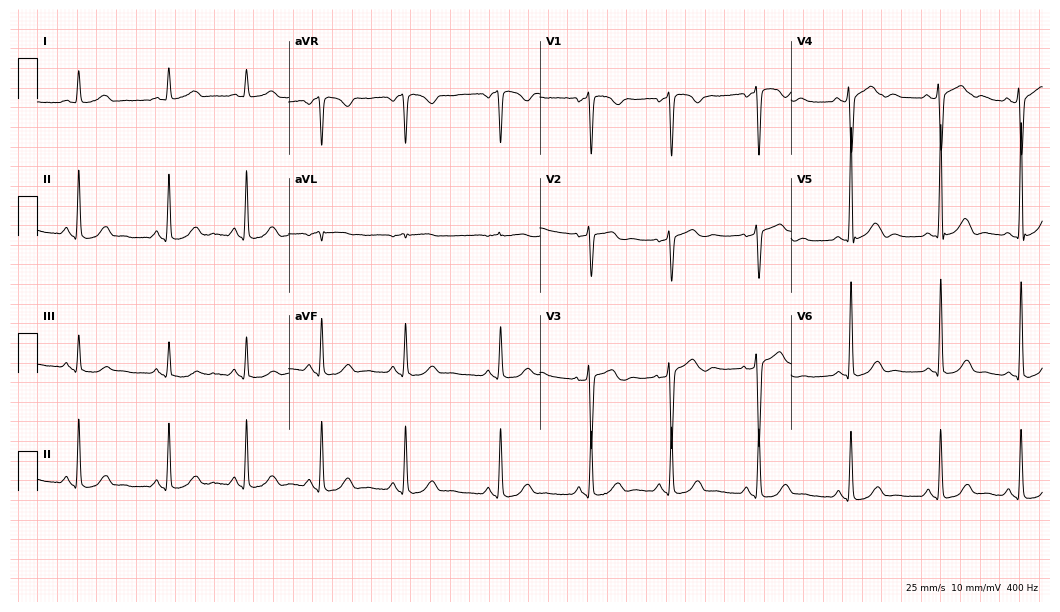
12-lead ECG from a female, 32 years old. Recorded interpretation: within normal limits.